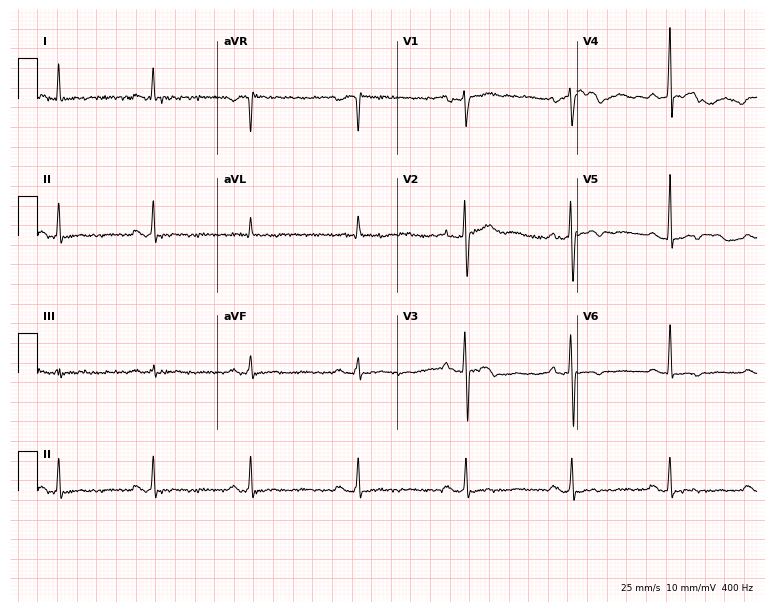
Standard 12-lead ECG recorded from a man, 40 years old. None of these six findings is recorded: first-degree AV block, right bundle branch block (RBBB), left bundle branch block (LBBB), sinus bradycardia, atrial fibrillation (AF), sinus tachycardia. Findings outside these six are not listed.